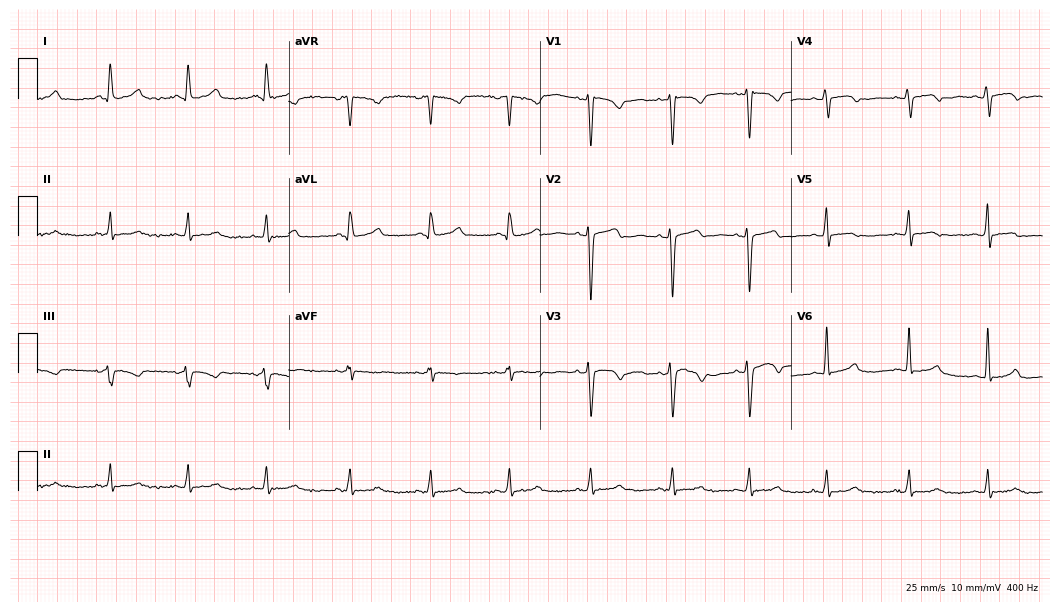
Electrocardiogram (10.2-second recording at 400 Hz), a female, 32 years old. Of the six screened findings (first-degree AV block, right bundle branch block, left bundle branch block, sinus bradycardia, atrial fibrillation, sinus tachycardia), none is recorded. Findings outside these six are not listed.